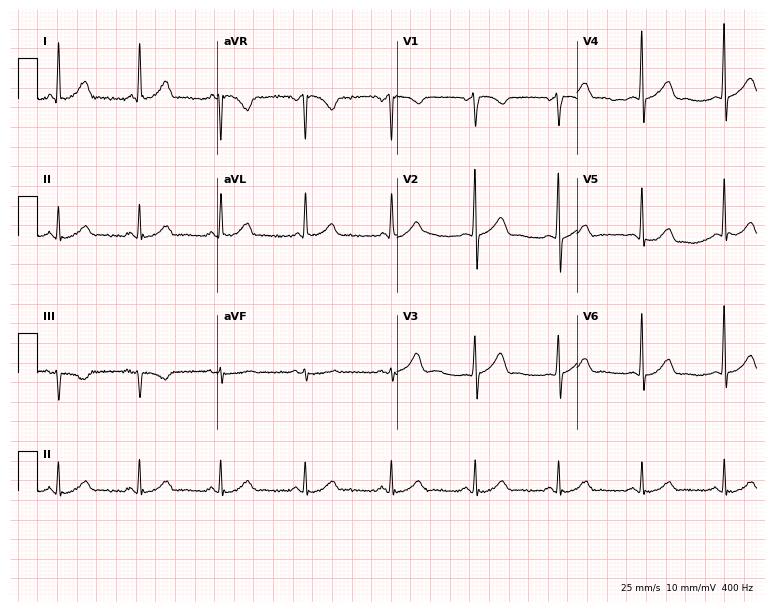
ECG (7.3-second recording at 400 Hz) — a male, 62 years old. Labelled as a normal ECG.